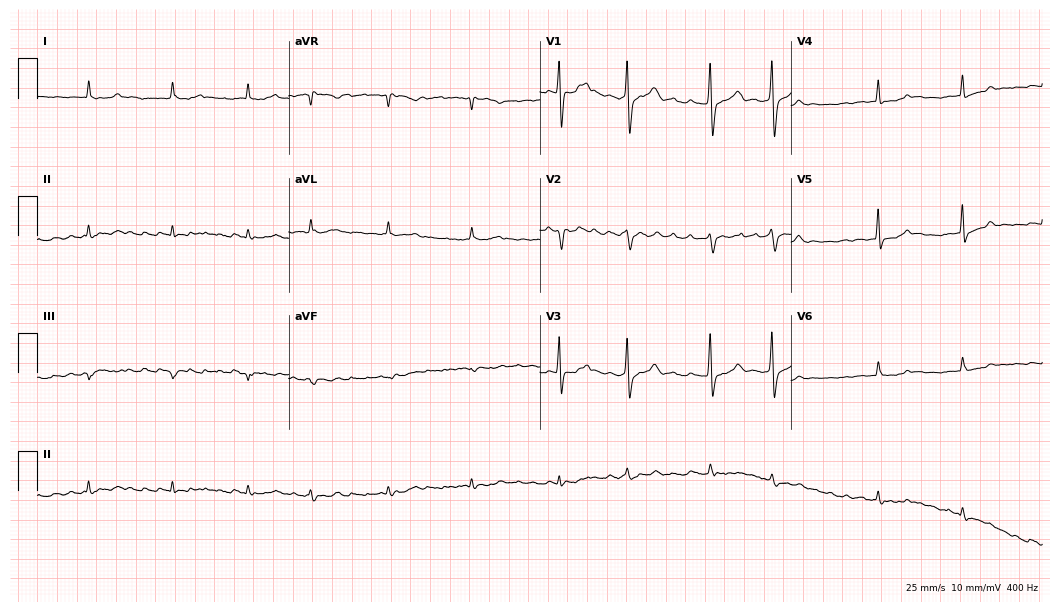
ECG (10.2-second recording at 400 Hz) — a 66-year-old male. Screened for six findings — first-degree AV block, right bundle branch block, left bundle branch block, sinus bradycardia, atrial fibrillation, sinus tachycardia — none is recorded. Only these six findings were labelled.